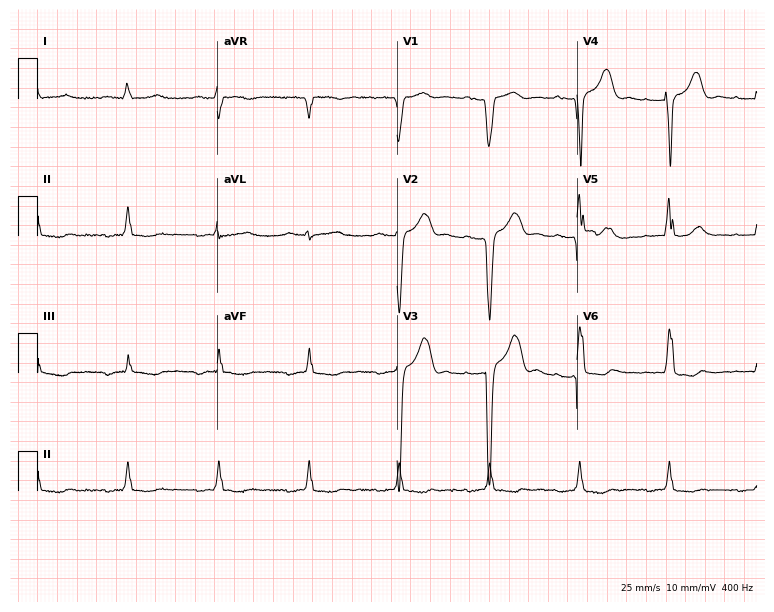
ECG (7.3-second recording at 400 Hz) — a 72-year-old male. Screened for six findings — first-degree AV block, right bundle branch block (RBBB), left bundle branch block (LBBB), sinus bradycardia, atrial fibrillation (AF), sinus tachycardia — none is recorded.